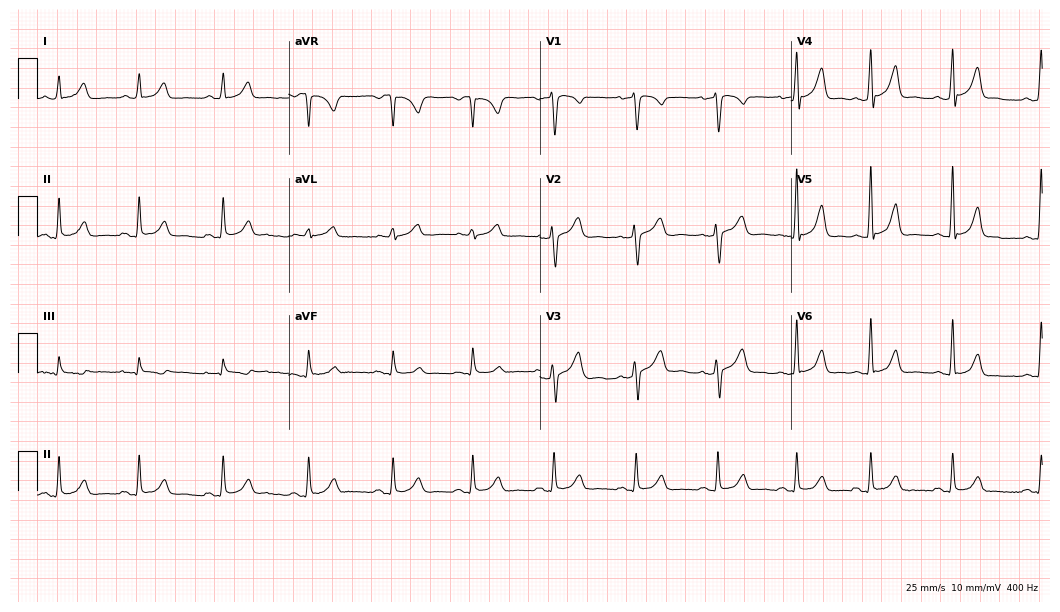
Electrocardiogram, a female patient, 28 years old. Overall reading on record: normal ECG.